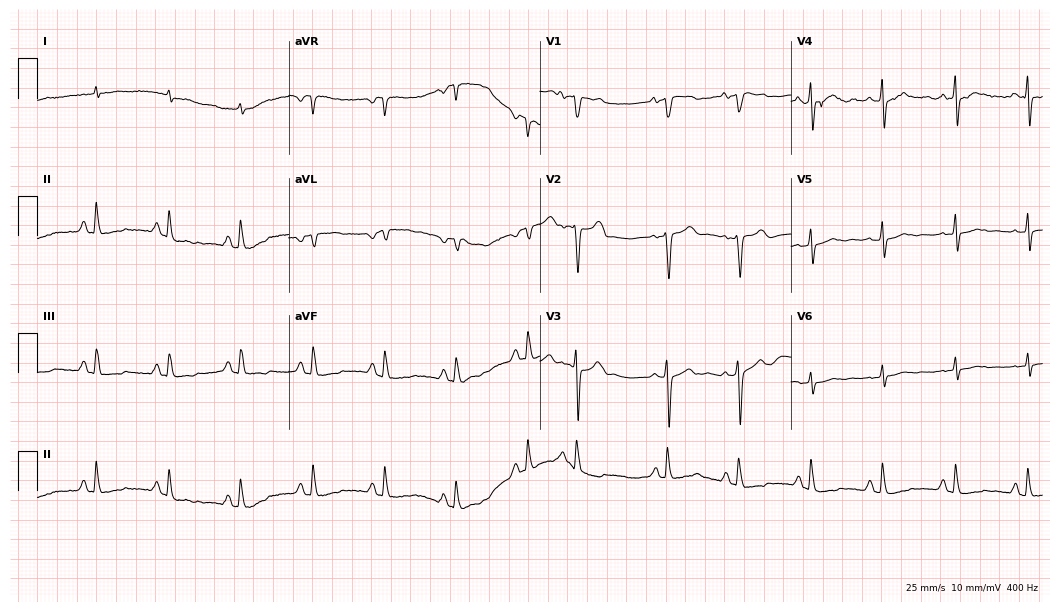
12-lead ECG from a man, 57 years old. Screened for six findings — first-degree AV block, right bundle branch block, left bundle branch block, sinus bradycardia, atrial fibrillation, sinus tachycardia — none is recorded.